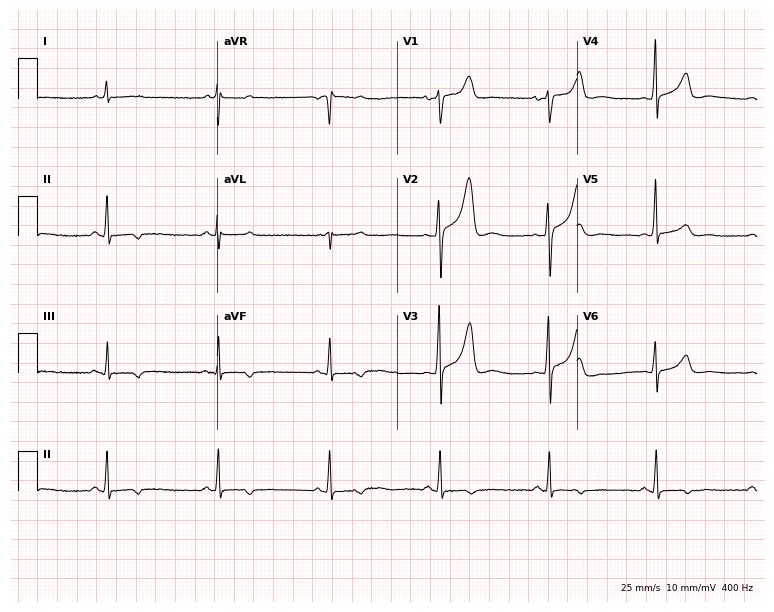
Resting 12-lead electrocardiogram. Patient: a male, 62 years old. None of these six findings is recorded: first-degree AV block, right bundle branch block, left bundle branch block, sinus bradycardia, atrial fibrillation, sinus tachycardia.